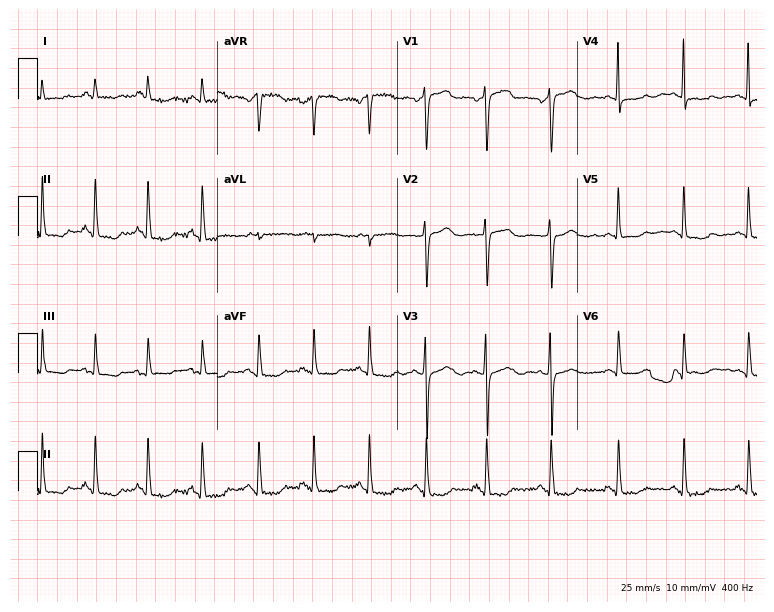
12-lead ECG from a female, 55 years old (7.3-second recording at 400 Hz). No first-degree AV block, right bundle branch block, left bundle branch block, sinus bradycardia, atrial fibrillation or sinus tachycardia recorded for this tracing. Findings outside these six are not listed.